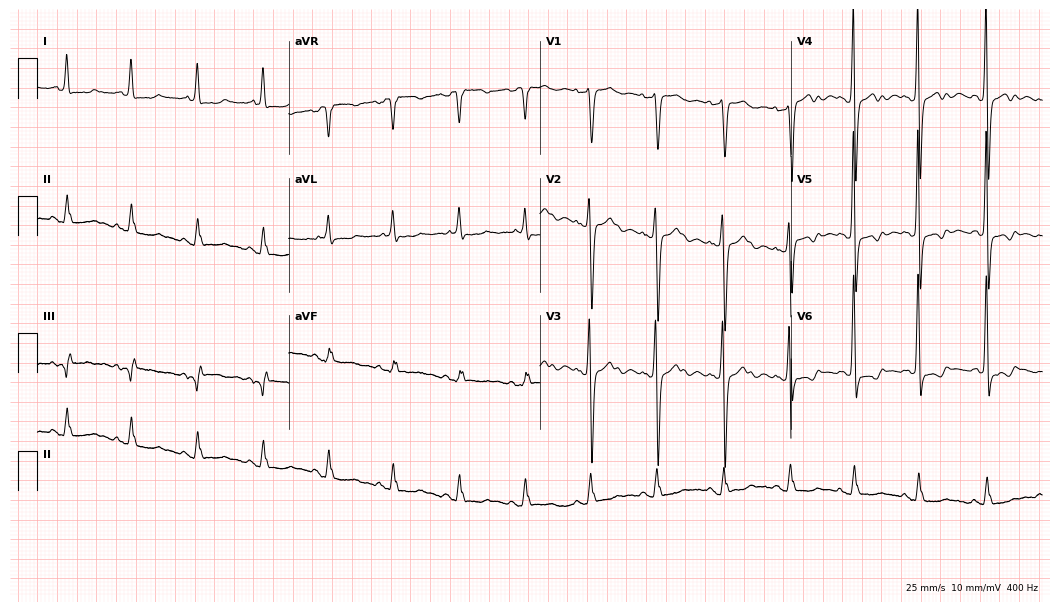
Standard 12-lead ECG recorded from a 63-year-old woman. None of these six findings is recorded: first-degree AV block, right bundle branch block, left bundle branch block, sinus bradycardia, atrial fibrillation, sinus tachycardia. Only these six findings were labelled.